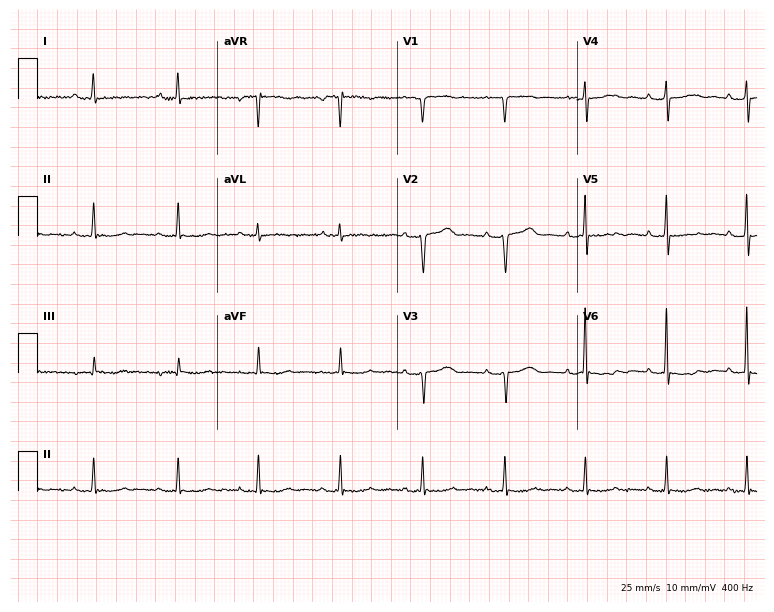
Standard 12-lead ECG recorded from a female, 57 years old (7.3-second recording at 400 Hz). None of these six findings is recorded: first-degree AV block, right bundle branch block, left bundle branch block, sinus bradycardia, atrial fibrillation, sinus tachycardia. Findings outside these six are not listed.